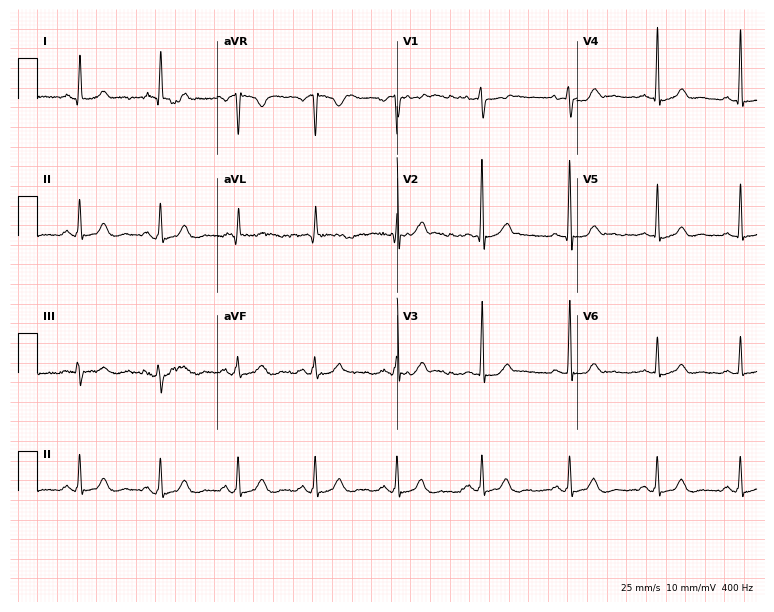
Standard 12-lead ECG recorded from a 43-year-old woman (7.3-second recording at 400 Hz). Read as a normal ECG.